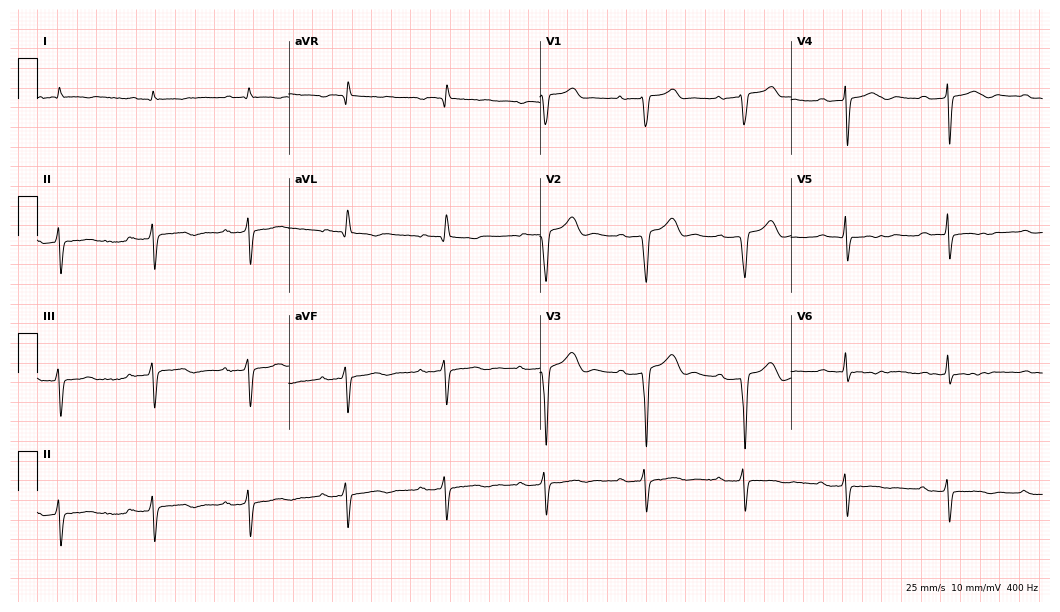
12-lead ECG from a 70-year-old male (10.2-second recording at 400 Hz). No first-degree AV block, right bundle branch block, left bundle branch block, sinus bradycardia, atrial fibrillation or sinus tachycardia recorded for this tracing. Findings outside these six are not listed.